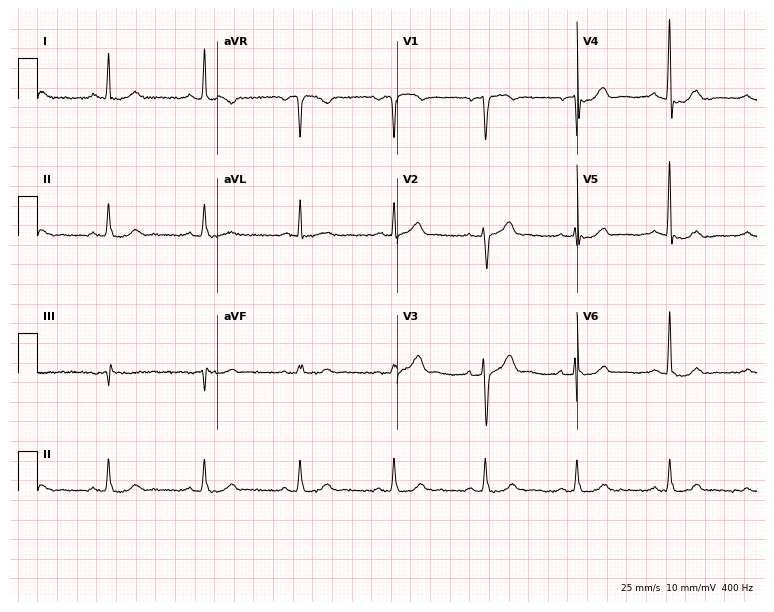
12-lead ECG from a male, 63 years old. Recorded interpretation: within normal limits.